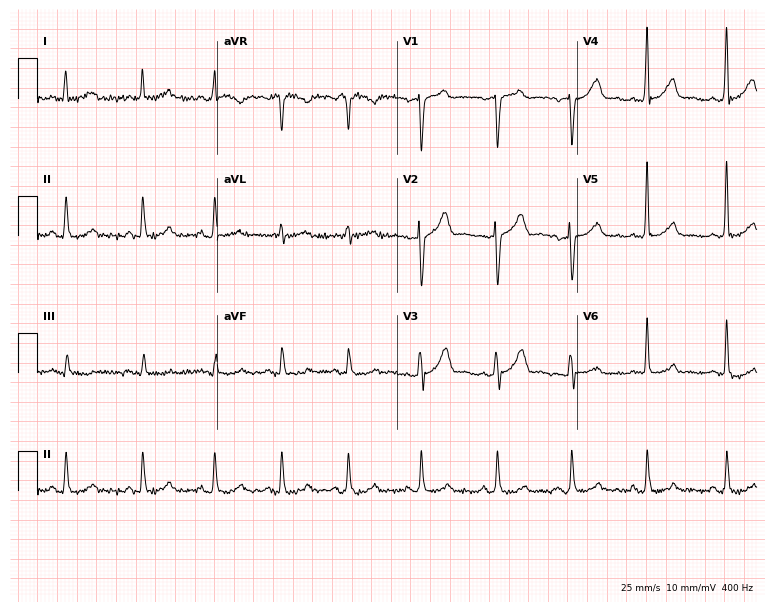
12-lead ECG from a male patient, 64 years old. Screened for six findings — first-degree AV block, right bundle branch block (RBBB), left bundle branch block (LBBB), sinus bradycardia, atrial fibrillation (AF), sinus tachycardia — none is recorded. Only these six findings were labelled.